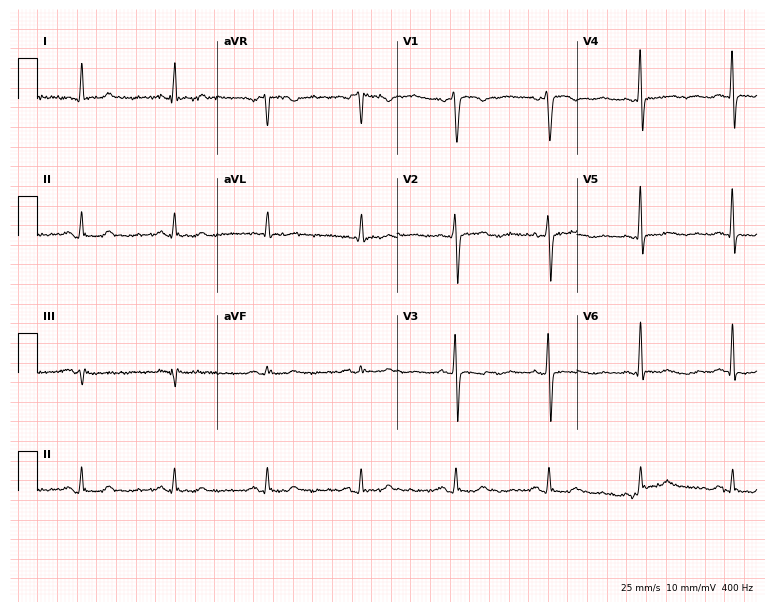
Electrocardiogram (7.3-second recording at 400 Hz), a 59-year-old female patient. Of the six screened findings (first-degree AV block, right bundle branch block, left bundle branch block, sinus bradycardia, atrial fibrillation, sinus tachycardia), none is recorded.